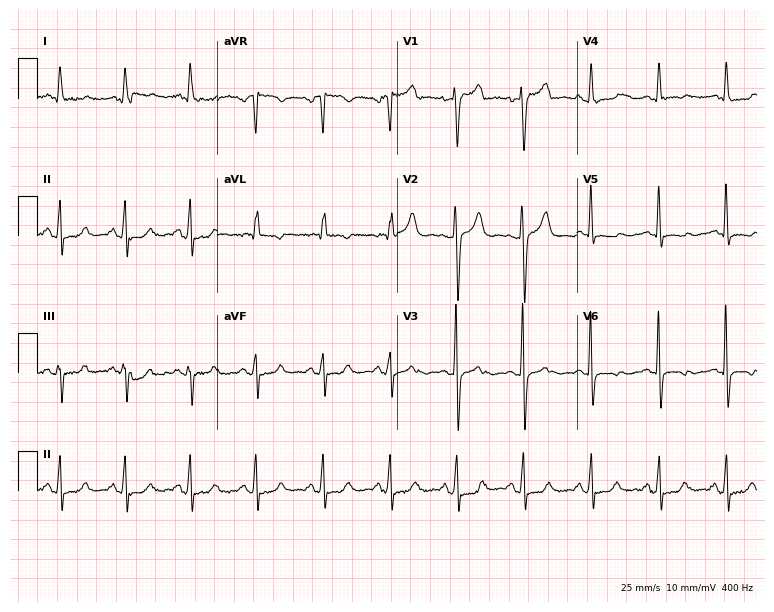
Standard 12-lead ECG recorded from a 60-year-old woman. None of these six findings is recorded: first-degree AV block, right bundle branch block (RBBB), left bundle branch block (LBBB), sinus bradycardia, atrial fibrillation (AF), sinus tachycardia. Other findings, if any, are not listed.